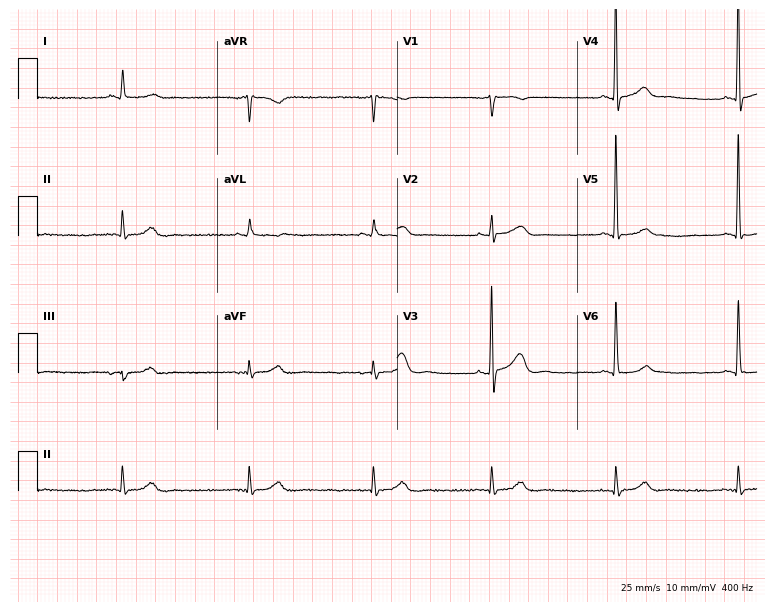
12-lead ECG from a 70-year-old male patient (7.3-second recording at 400 Hz). Shows sinus bradycardia (a sinus rate of 50 beats per minute or less).